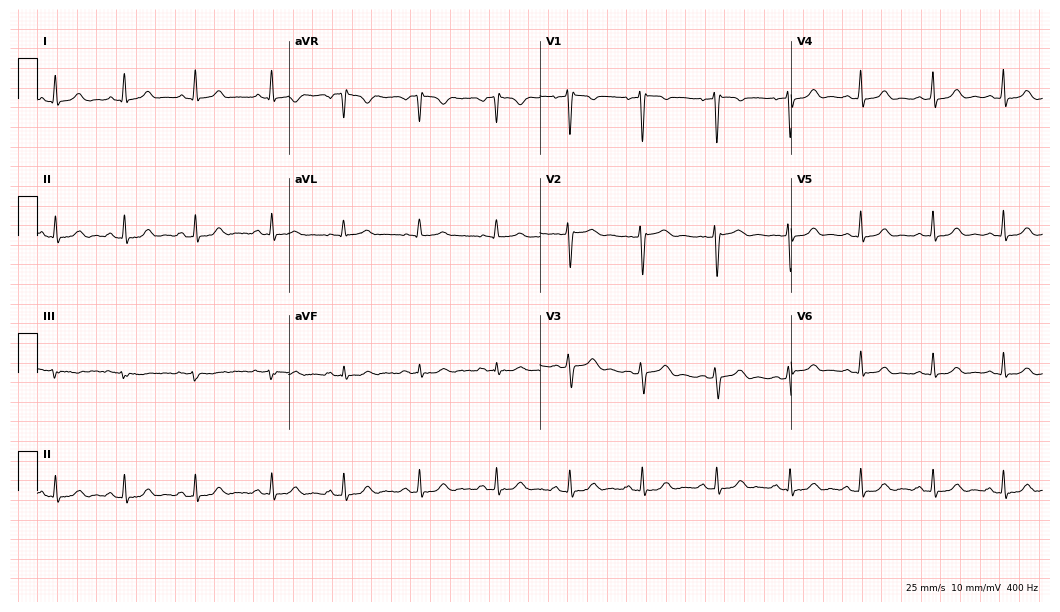
Resting 12-lead electrocardiogram. Patient: a 35-year-old female. Read as a normal ECG.